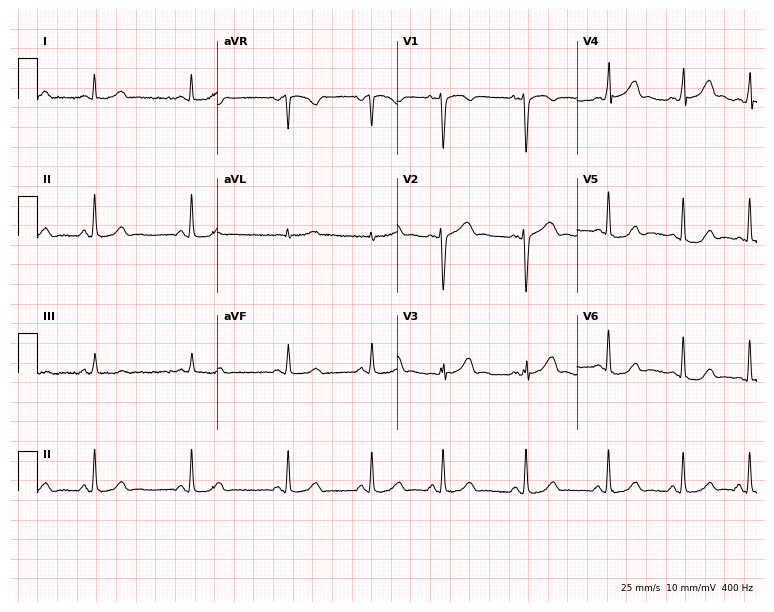
12-lead ECG from a 30-year-old woman. Labelled as a normal ECG.